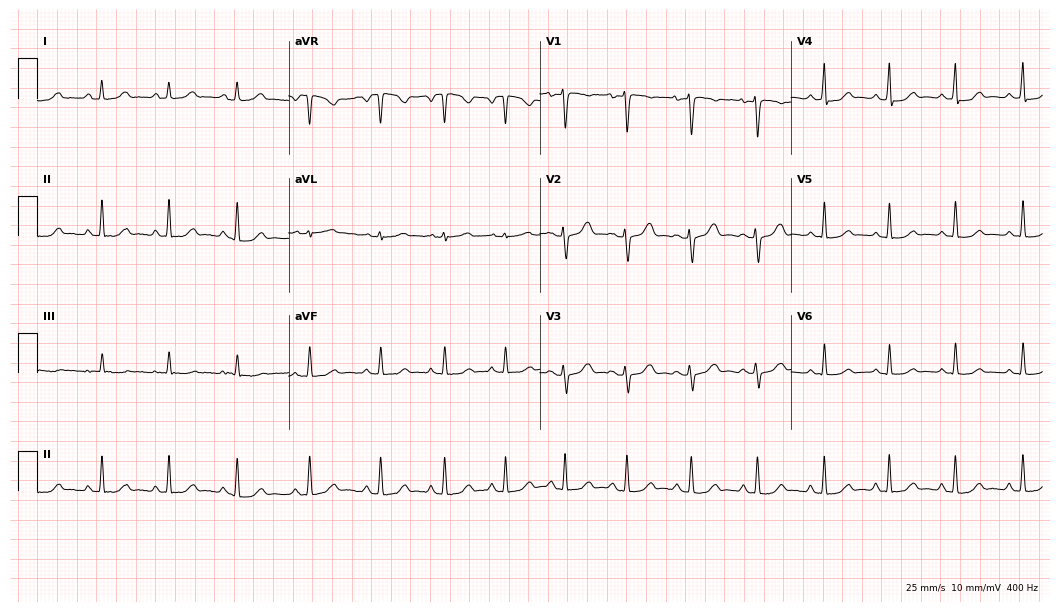
ECG — a female, 26 years old. Screened for six findings — first-degree AV block, right bundle branch block, left bundle branch block, sinus bradycardia, atrial fibrillation, sinus tachycardia — none is recorded.